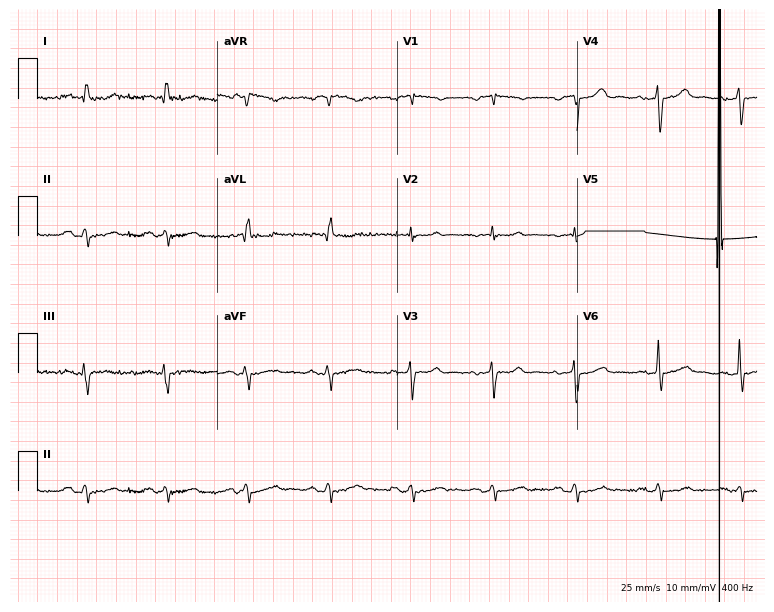
ECG (7.3-second recording at 400 Hz) — a woman, 79 years old. Findings include atrial fibrillation (AF).